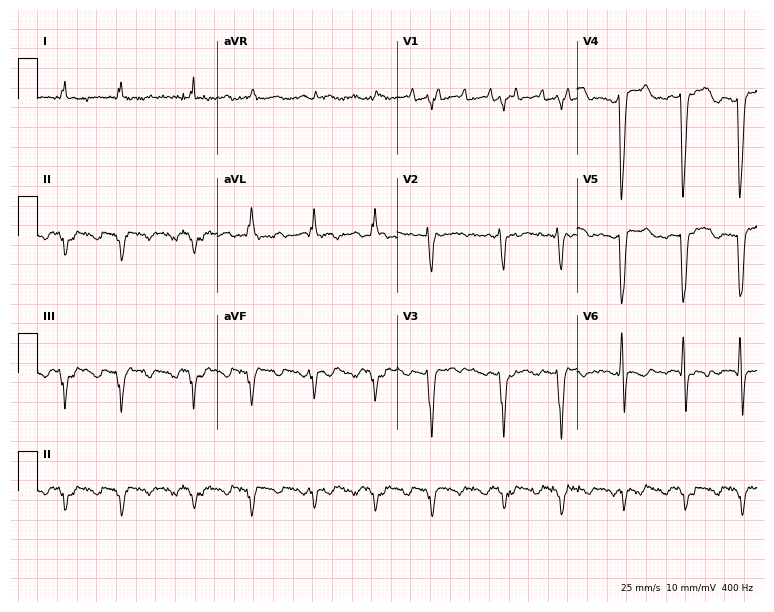
12-lead ECG from a 38-year-old man (7.3-second recording at 400 Hz). No first-degree AV block, right bundle branch block, left bundle branch block, sinus bradycardia, atrial fibrillation or sinus tachycardia recorded for this tracing. Only these six findings were labelled.